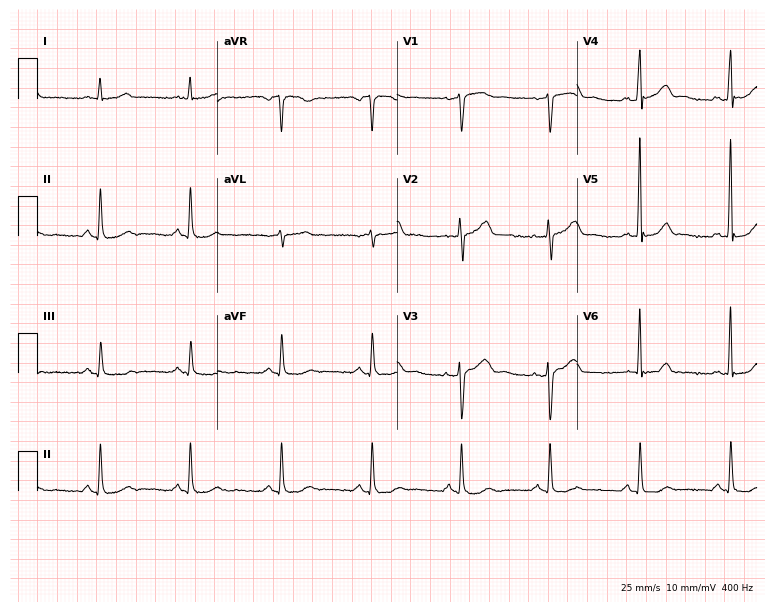
Electrocardiogram, a 58-year-old male patient. Of the six screened findings (first-degree AV block, right bundle branch block (RBBB), left bundle branch block (LBBB), sinus bradycardia, atrial fibrillation (AF), sinus tachycardia), none is recorded. Only these six findings were labelled.